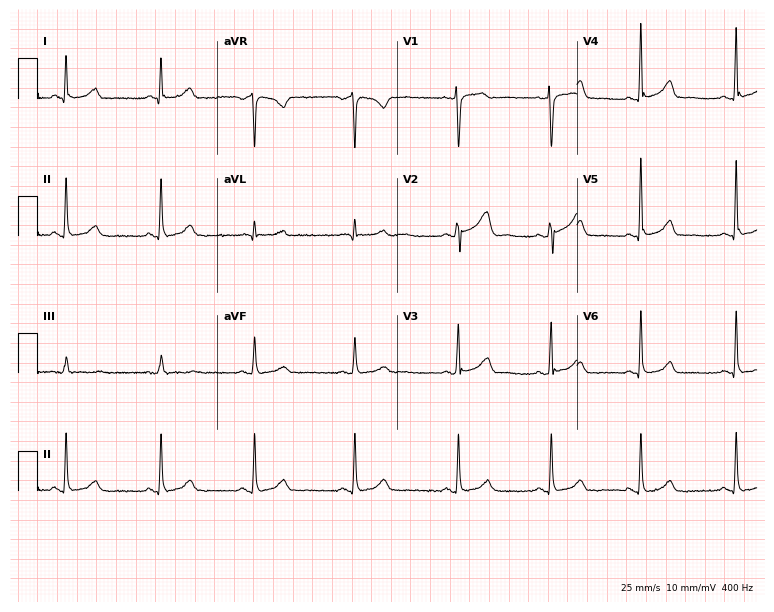
12-lead ECG from a 54-year-old female (7.3-second recording at 400 Hz). Recorded interpretation: within normal limits.